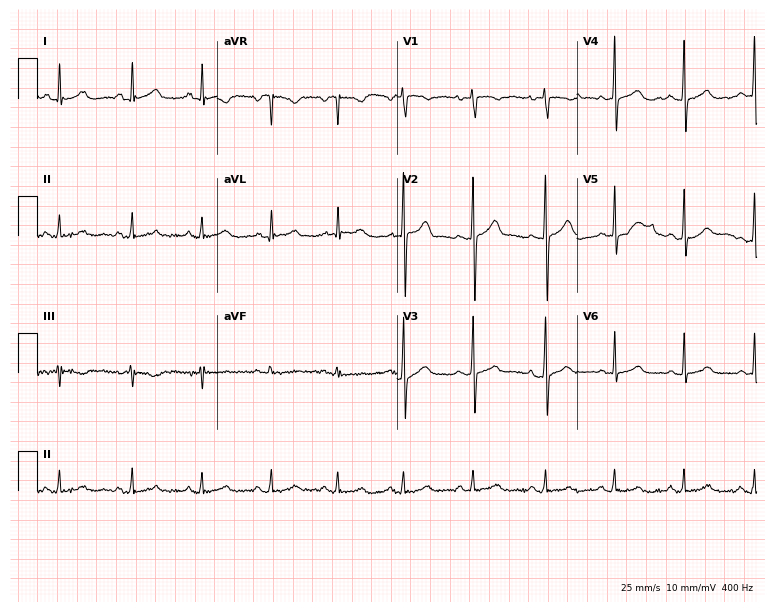
Resting 12-lead electrocardiogram. Patient: a woman, 21 years old. None of these six findings is recorded: first-degree AV block, right bundle branch block, left bundle branch block, sinus bradycardia, atrial fibrillation, sinus tachycardia.